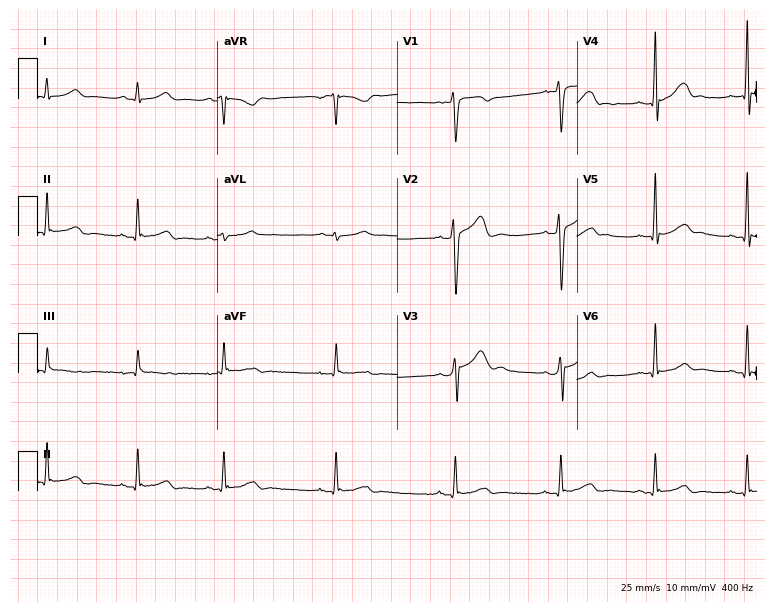
ECG (7.3-second recording at 400 Hz) — a male patient, 23 years old. Screened for six findings — first-degree AV block, right bundle branch block, left bundle branch block, sinus bradycardia, atrial fibrillation, sinus tachycardia — none is recorded. Other findings, if any, are not listed.